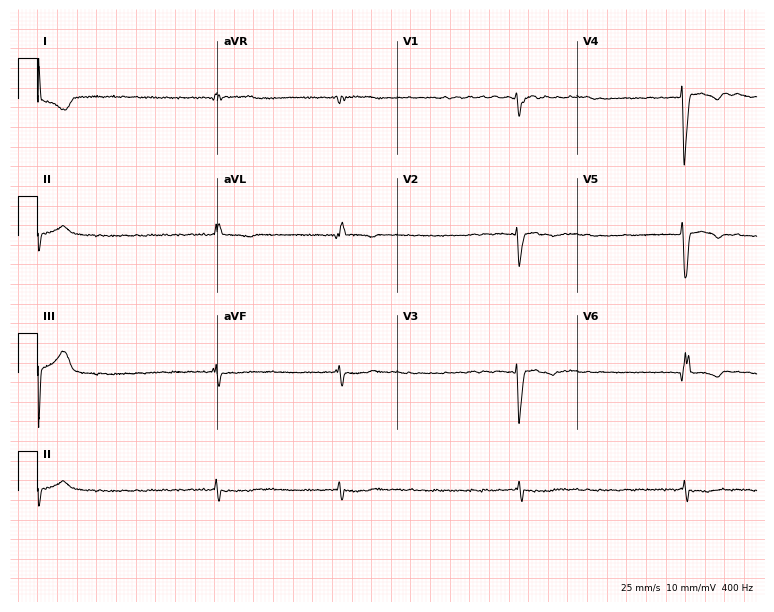
12-lead ECG from a female patient, 53 years old. Shows atrial fibrillation (AF).